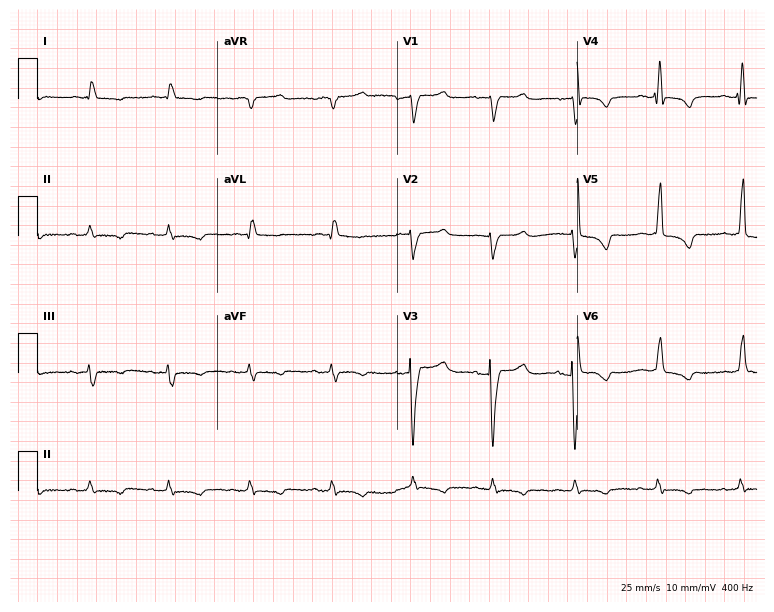
12-lead ECG (7.3-second recording at 400 Hz) from a female, 66 years old. Findings include left bundle branch block.